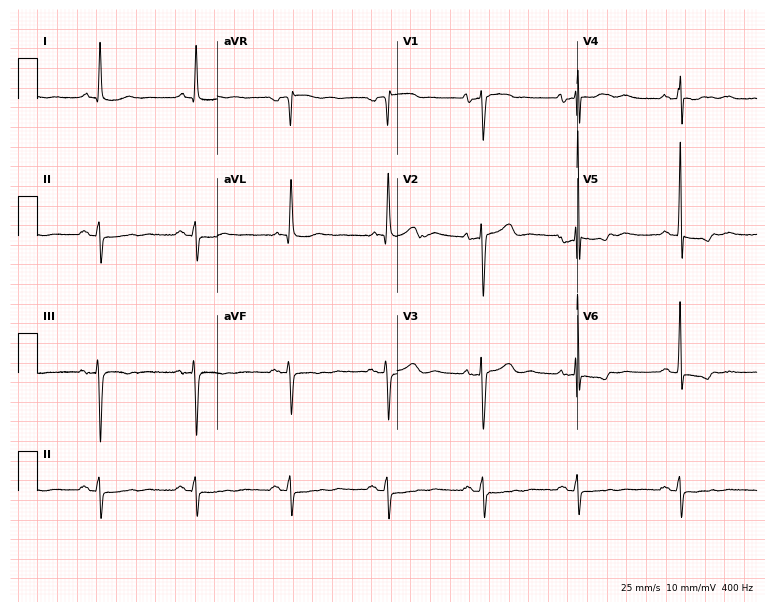
ECG — a woman, 77 years old. Screened for six findings — first-degree AV block, right bundle branch block, left bundle branch block, sinus bradycardia, atrial fibrillation, sinus tachycardia — none is recorded. Other findings, if any, are not listed.